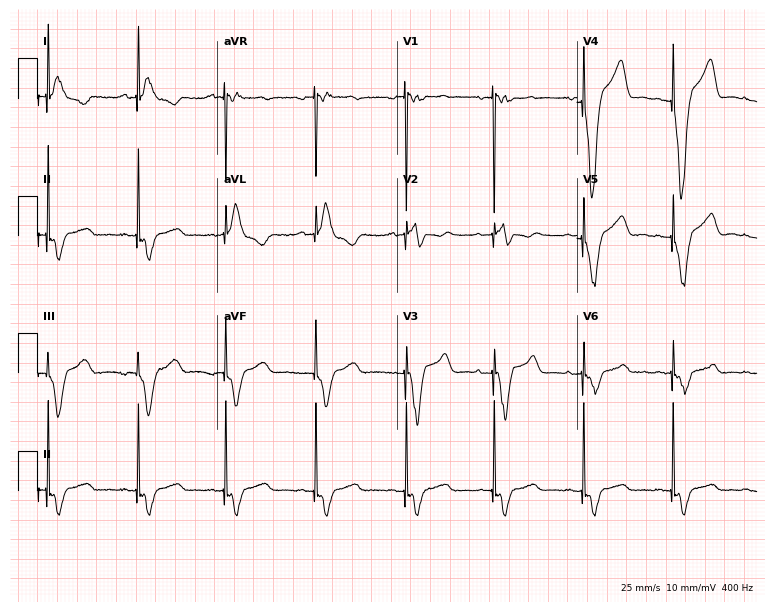
12-lead ECG from a 49-year-old male. No first-degree AV block, right bundle branch block, left bundle branch block, sinus bradycardia, atrial fibrillation or sinus tachycardia recorded for this tracing. Only these six findings were labelled.